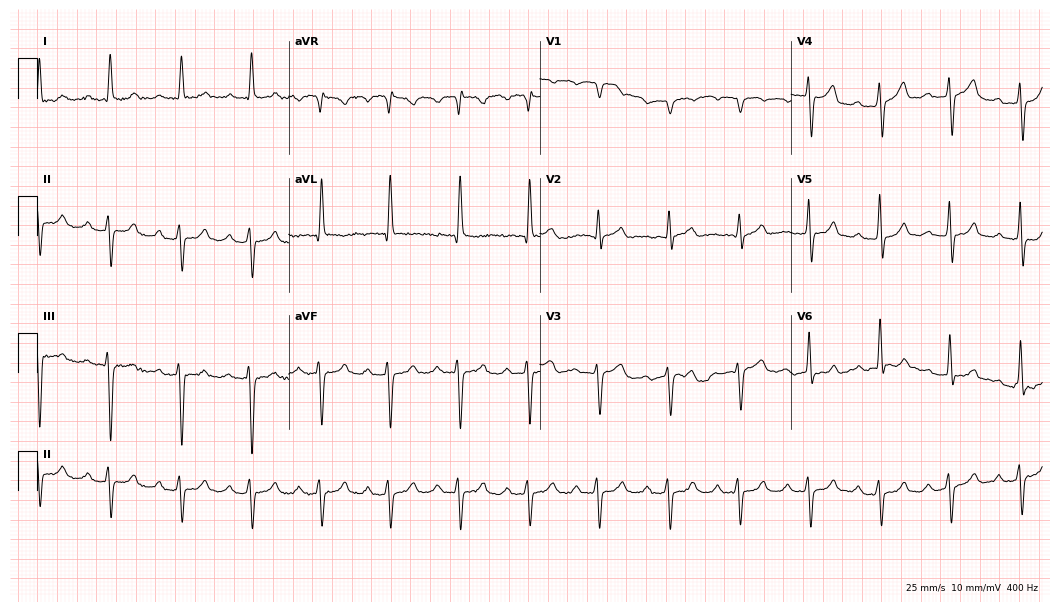
ECG (10.2-second recording at 400 Hz) — a female, 87 years old. Findings include first-degree AV block.